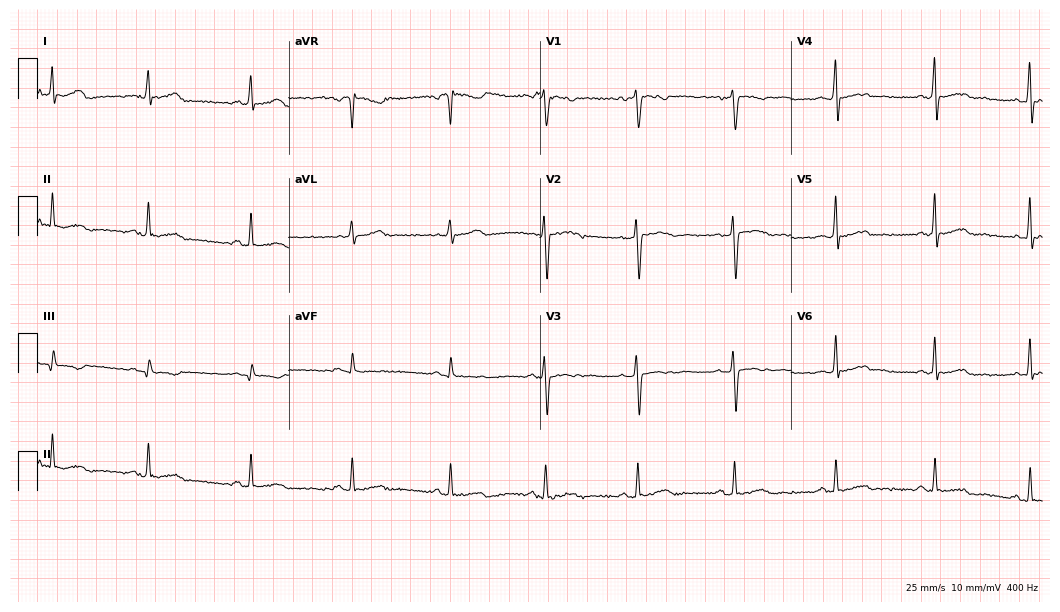
Resting 12-lead electrocardiogram. Patient: a female, 37 years old. Read as a normal ECG.